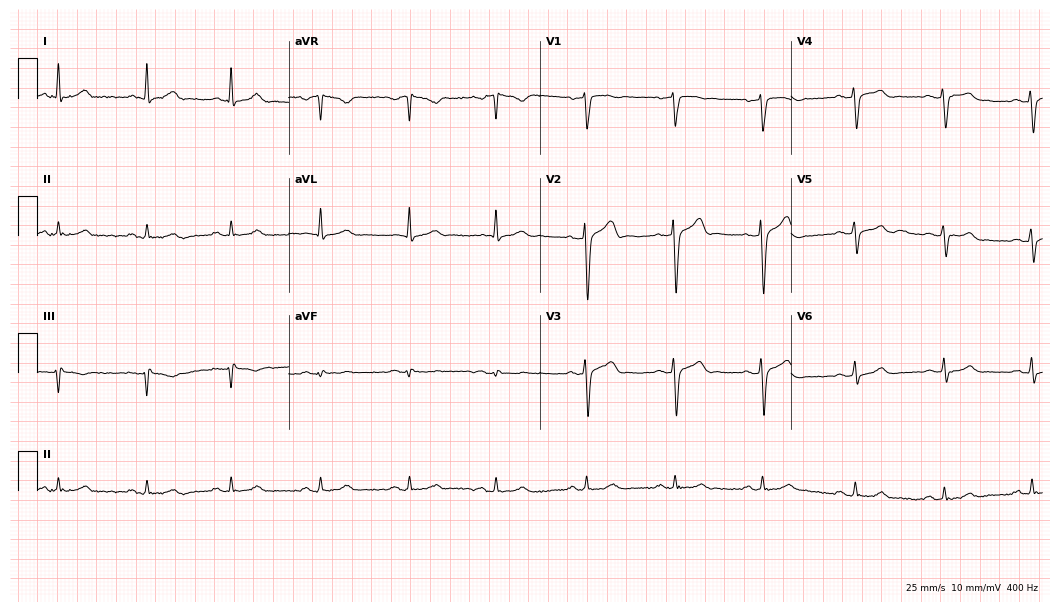
12-lead ECG from a 35-year-old male patient (10.2-second recording at 400 Hz). Recorded interpretation: within normal limits.